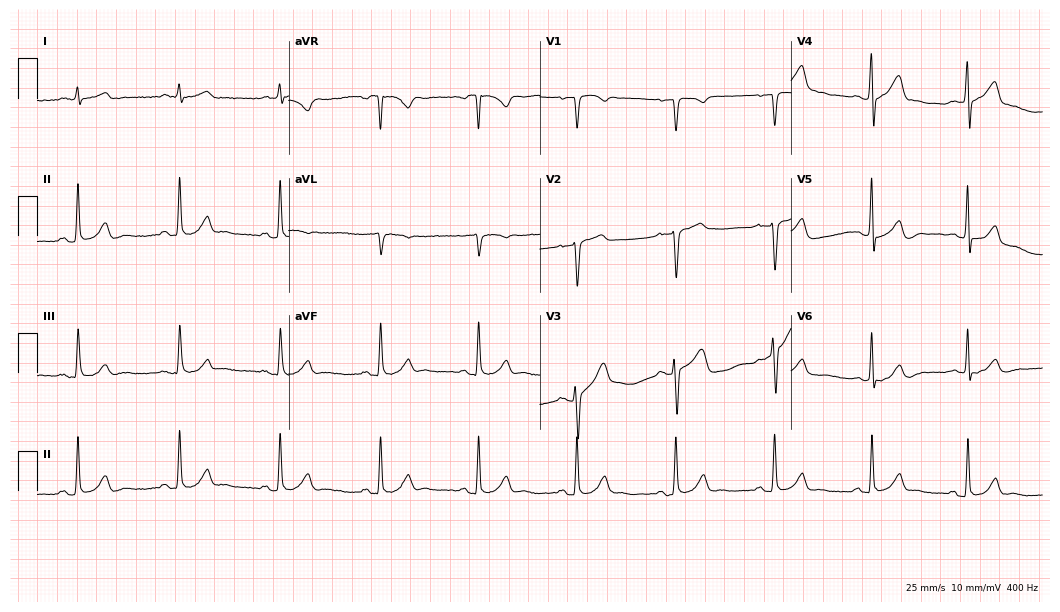
ECG — a male, 47 years old. Labelled as a normal ECG.